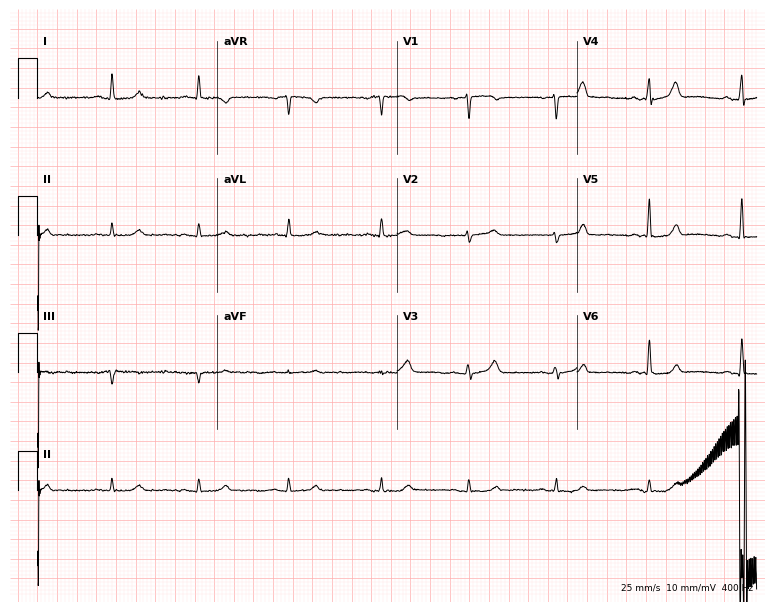
Standard 12-lead ECG recorded from a woman, 49 years old (7.3-second recording at 400 Hz). None of these six findings is recorded: first-degree AV block, right bundle branch block, left bundle branch block, sinus bradycardia, atrial fibrillation, sinus tachycardia.